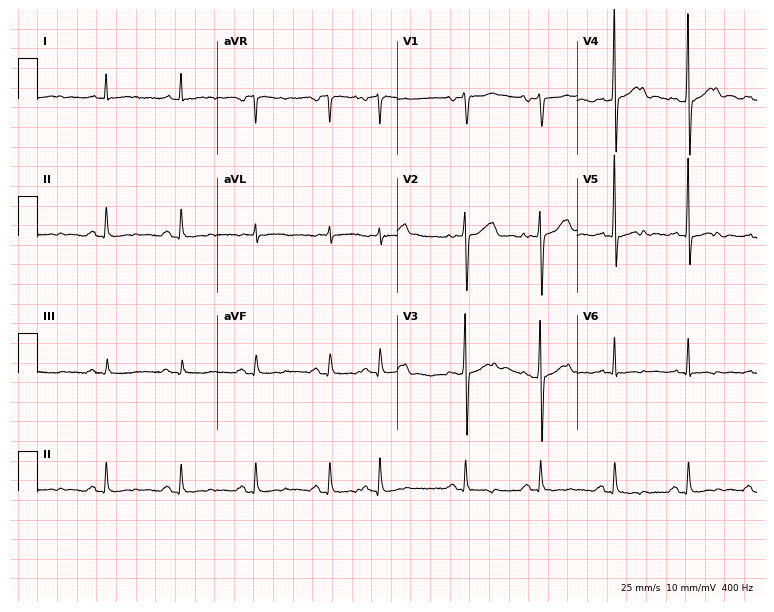
12-lead ECG from a 77-year-old man (7.3-second recording at 400 Hz). No first-degree AV block, right bundle branch block, left bundle branch block, sinus bradycardia, atrial fibrillation or sinus tachycardia recorded for this tracing. Other findings, if any, are not listed.